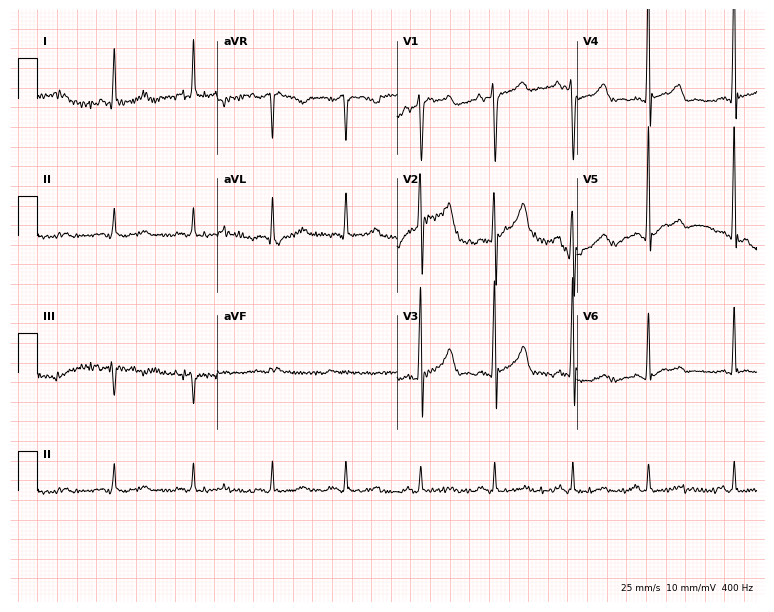
Standard 12-lead ECG recorded from a male, 62 years old. None of these six findings is recorded: first-degree AV block, right bundle branch block (RBBB), left bundle branch block (LBBB), sinus bradycardia, atrial fibrillation (AF), sinus tachycardia. Only these six findings were labelled.